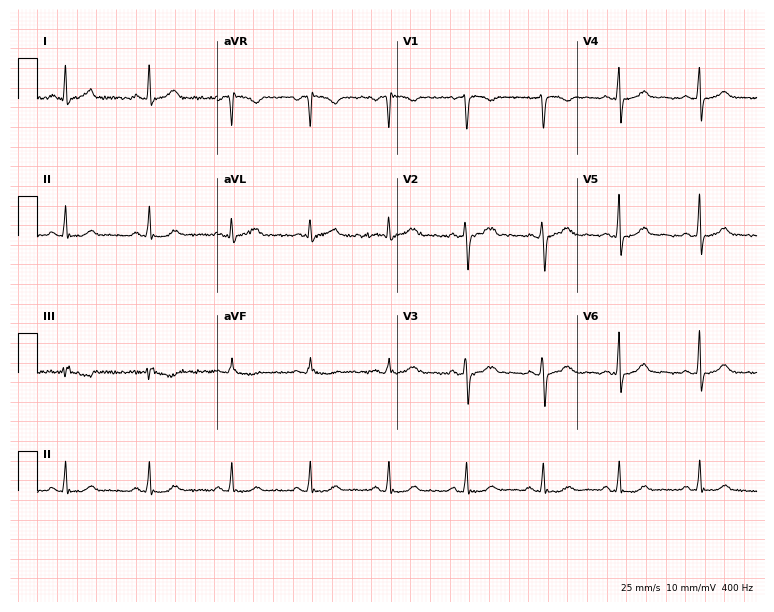
Standard 12-lead ECG recorded from a female, 38 years old. Read as a normal ECG.